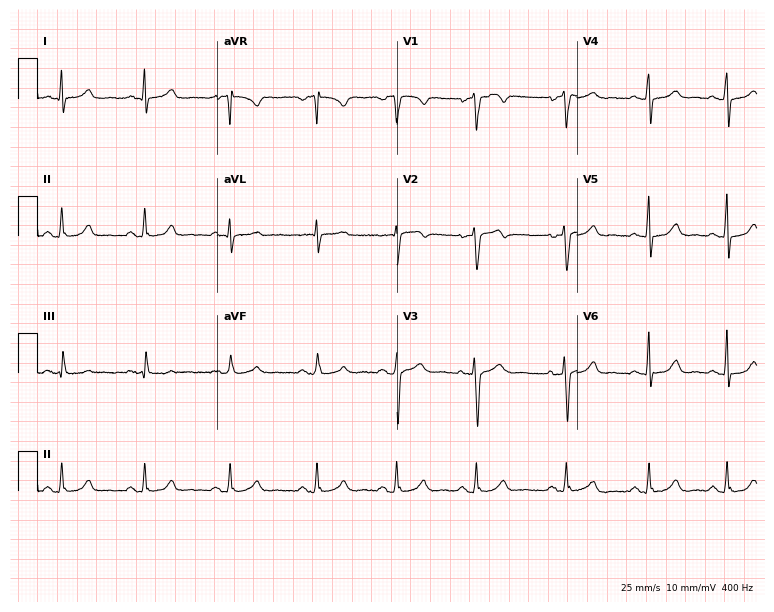
Electrocardiogram (7.3-second recording at 400 Hz), a 41-year-old female. Of the six screened findings (first-degree AV block, right bundle branch block, left bundle branch block, sinus bradycardia, atrial fibrillation, sinus tachycardia), none is recorded.